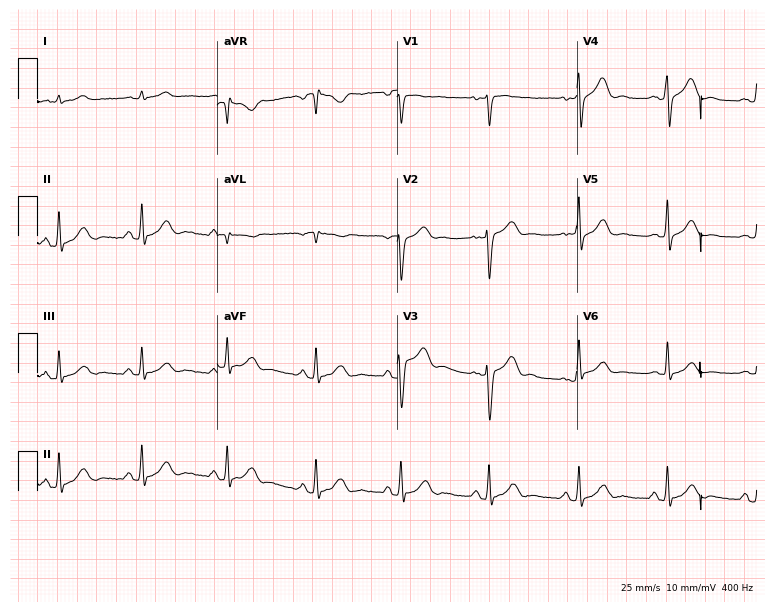
Electrocardiogram (7.3-second recording at 400 Hz), a man, 48 years old. Of the six screened findings (first-degree AV block, right bundle branch block, left bundle branch block, sinus bradycardia, atrial fibrillation, sinus tachycardia), none is recorded. Only these six findings were labelled.